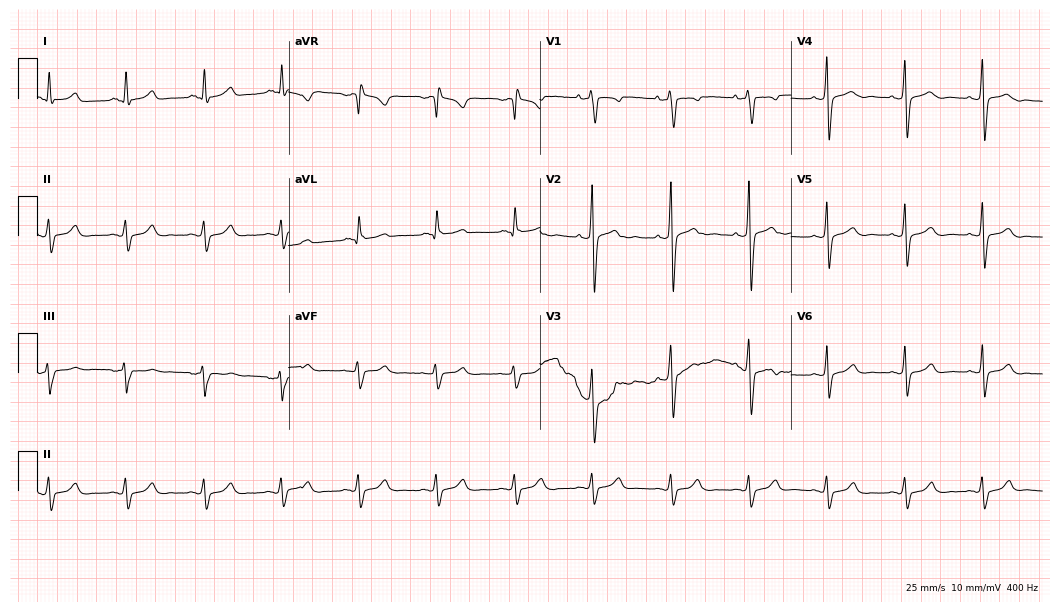
Standard 12-lead ECG recorded from a male, 33 years old. Read as a normal ECG.